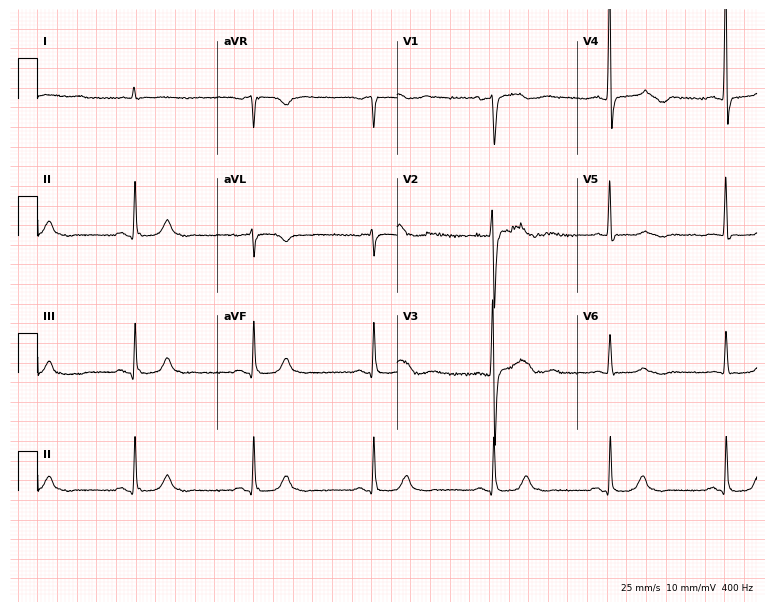
ECG (7.3-second recording at 400 Hz) — a man, 85 years old. Screened for six findings — first-degree AV block, right bundle branch block (RBBB), left bundle branch block (LBBB), sinus bradycardia, atrial fibrillation (AF), sinus tachycardia — none is recorded.